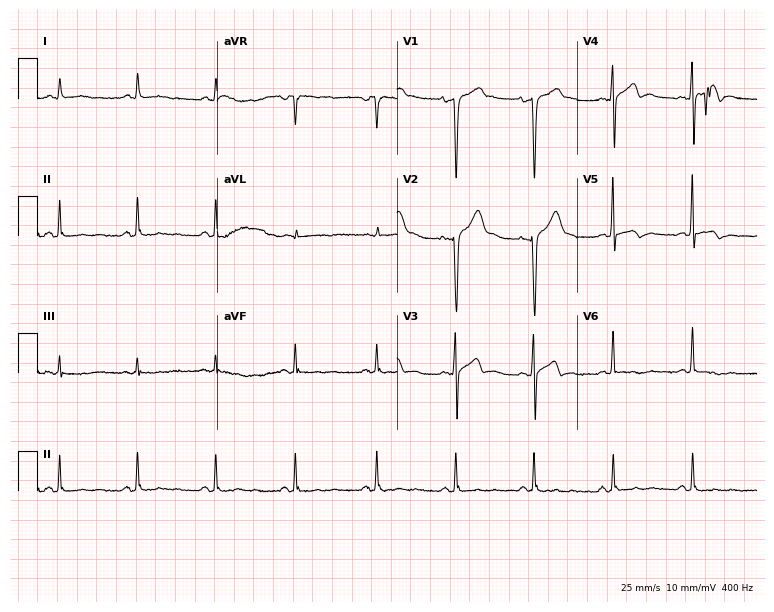
Resting 12-lead electrocardiogram (7.3-second recording at 400 Hz). Patient: a male, 51 years old. None of these six findings is recorded: first-degree AV block, right bundle branch block, left bundle branch block, sinus bradycardia, atrial fibrillation, sinus tachycardia. Other findings, if any, are not listed.